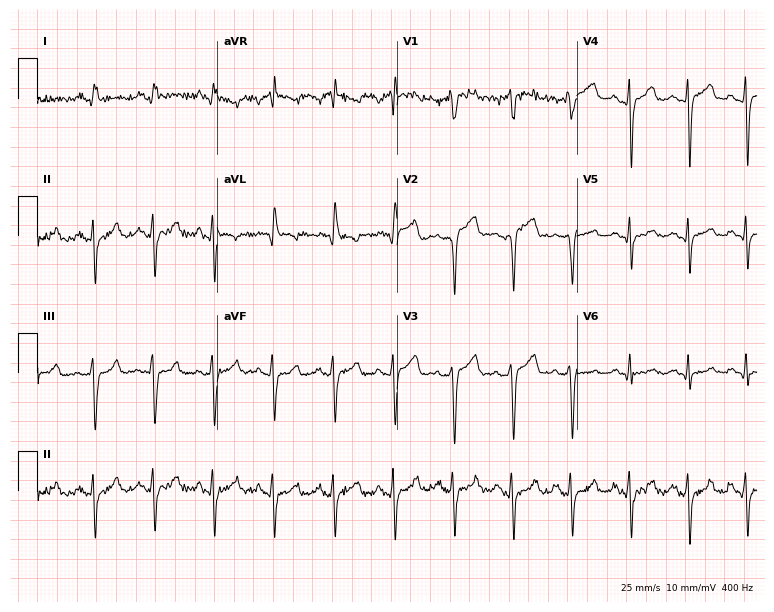
12-lead ECG from a 48-year-old male patient. No first-degree AV block, right bundle branch block, left bundle branch block, sinus bradycardia, atrial fibrillation or sinus tachycardia recorded for this tracing.